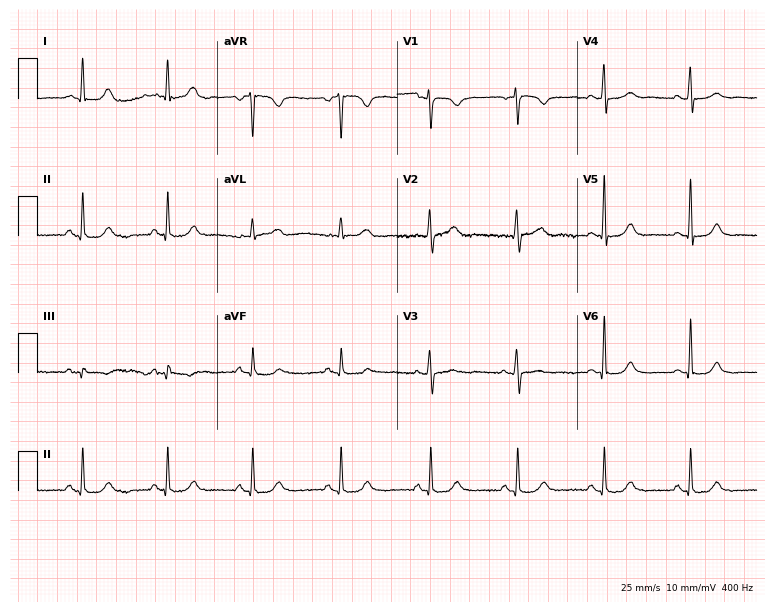
12-lead ECG (7.3-second recording at 400 Hz) from a 52-year-old female. Screened for six findings — first-degree AV block, right bundle branch block, left bundle branch block, sinus bradycardia, atrial fibrillation, sinus tachycardia — none is recorded. Only these six findings were labelled.